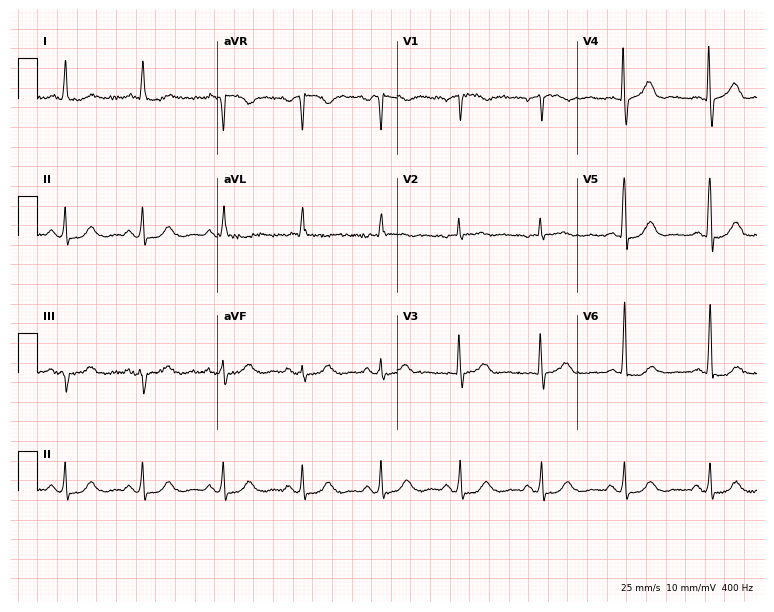
12-lead ECG from a woman, 74 years old (7.3-second recording at 400 Hz). No first-degree AV block, right bundle branch block, left bundle branch block, sinus bradycardia, atrial fibrillation or sinus tachycardia recorded for this tracing. Only these six findings were labelled.